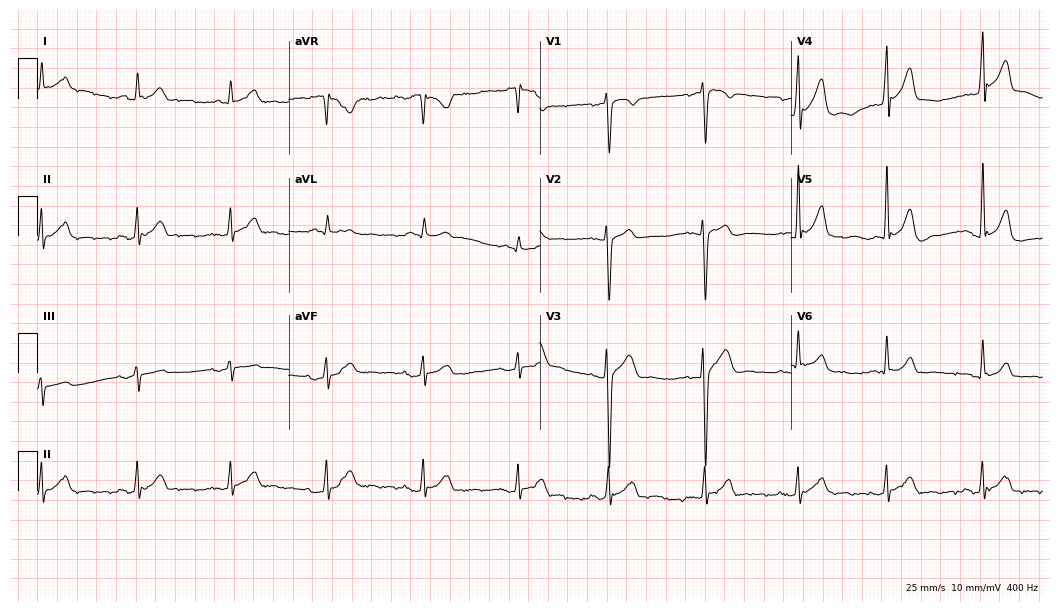
12-lead ECG from a male, 32 years old. Labelled as a normal ECG.